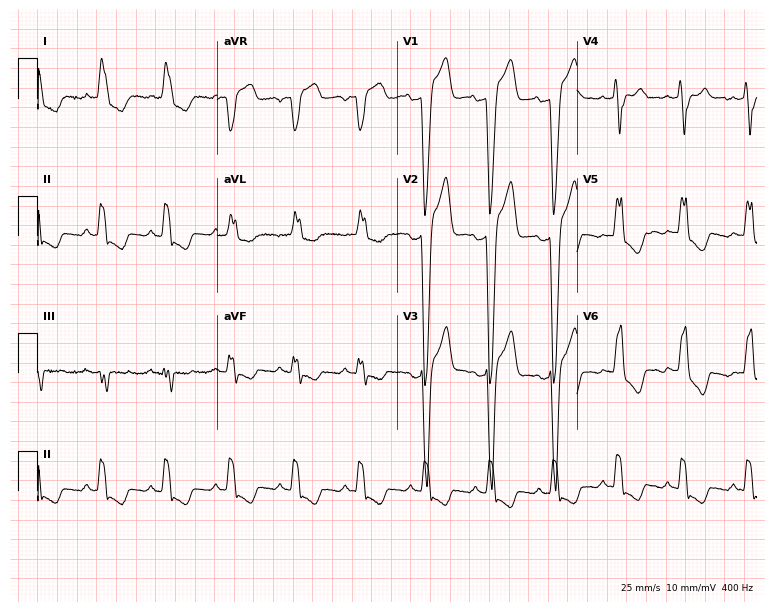
Resting 12-lead electrocardiogram. Patient: a female, 80 years old. The tracing shows left bundle branch block.